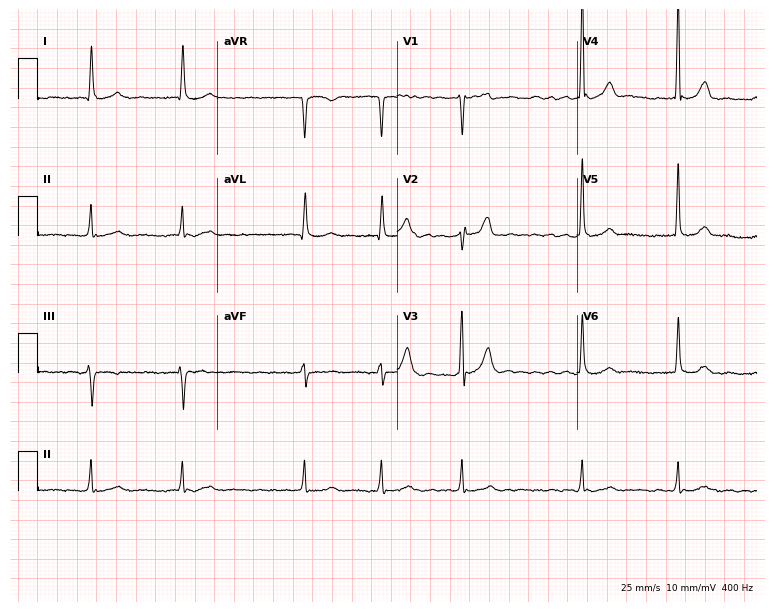
12-lead ECG from a 67-year-old male. Shows atrial fibrillation (AF).